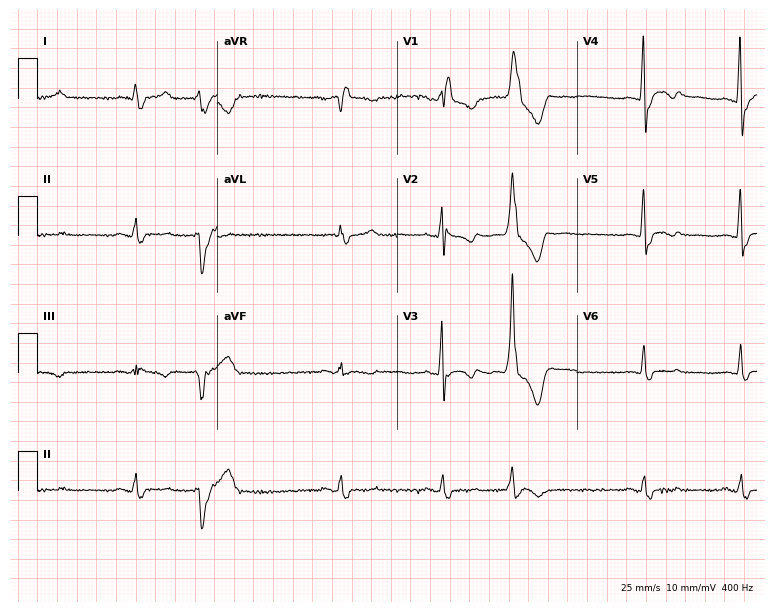
Electrocardiogram (7.3-second recording at 400 Hz), a female patient, 68 years old. Interpretation includes right bundle branch block.